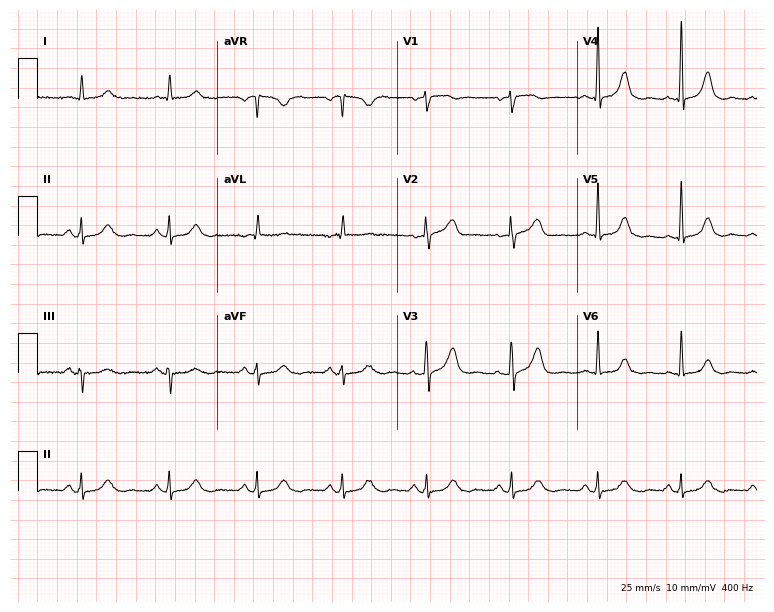
Standard 12-lead ECG recorded from a female, 75 years old (7.3-second recording at 400 Hz). Read as a normal ECG.